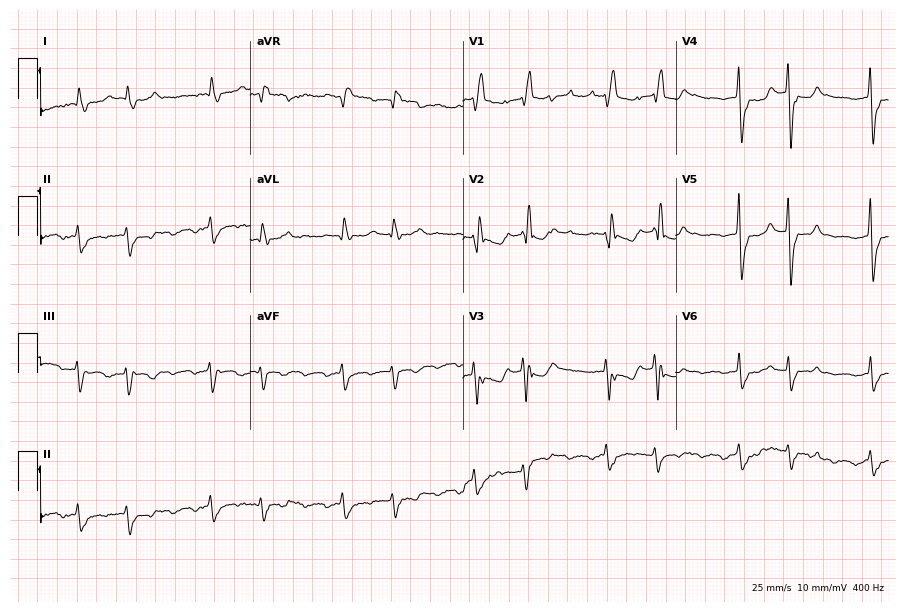
12-lead ECG from an 83-year-old male. Shows right bundle branch block, atrial fibrillation.